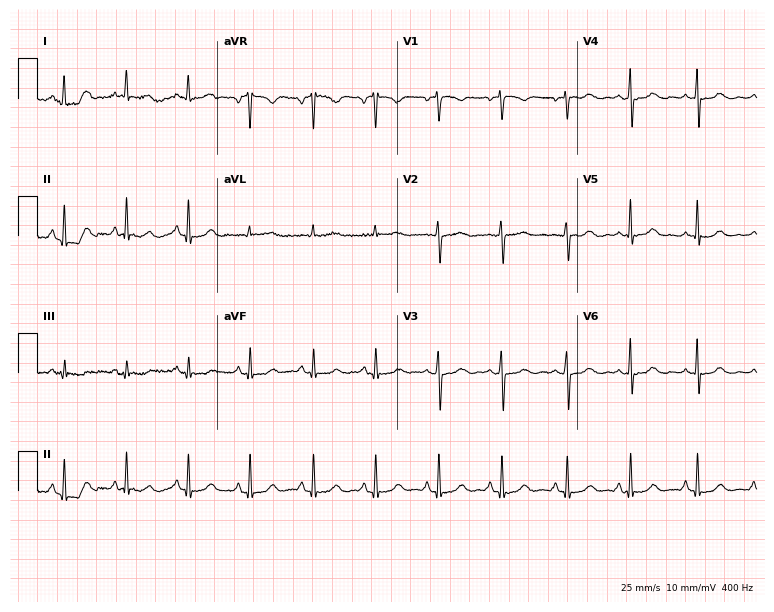
12-lead ECG from a 73-year-old woman. Screened for six findings — first-degree AV block, right bundle branch block, left bundle branch block, sinus bradycardia, atrial fibrillation, sinus tachycardia — none is recorded. Other findings, if any, are not listed.